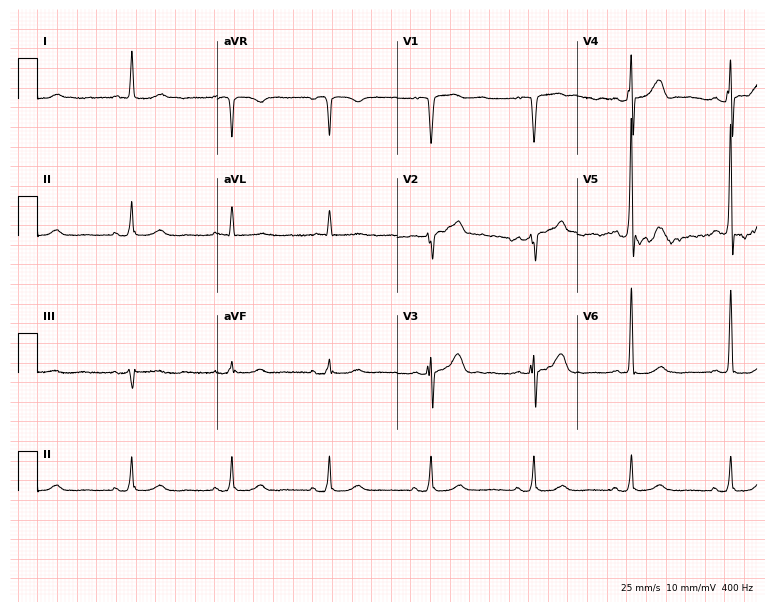
ECG — a 78-year-old male. Screened for six findings — first-degree AV block, right bundle branch block (RBBB), left bundle branch block (LBBB), sinus bradycardia, atrial fibrillation (AF), sinus tachycardia — none is recorded. Only these six findings were labelled.